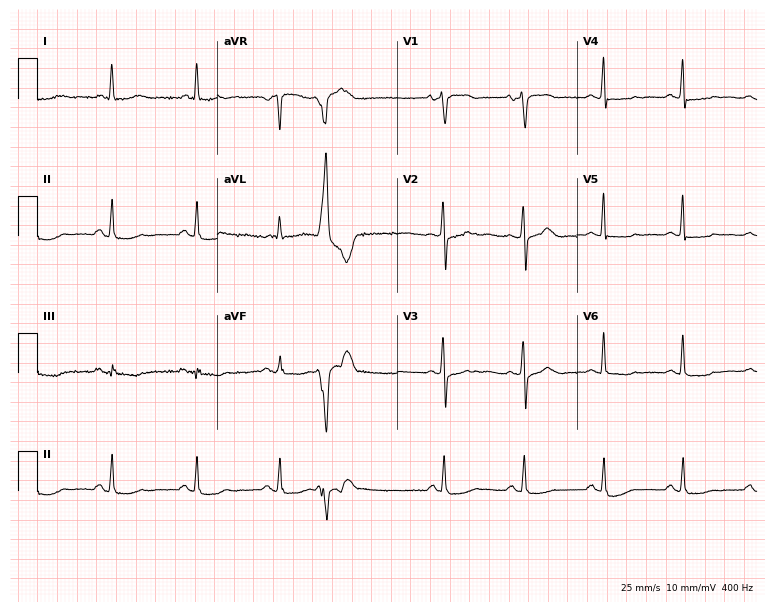
Electrocardiogram (7.3-second recording at 400 Hz), a 70-year-old woman. Of the six screened findings (first-degree AV block, right bundle branch block, left bundle branch block, sinus bradycardia, atrial fibrillation, sinus tachycardia), none is recorded. Only these six findings were labelled.